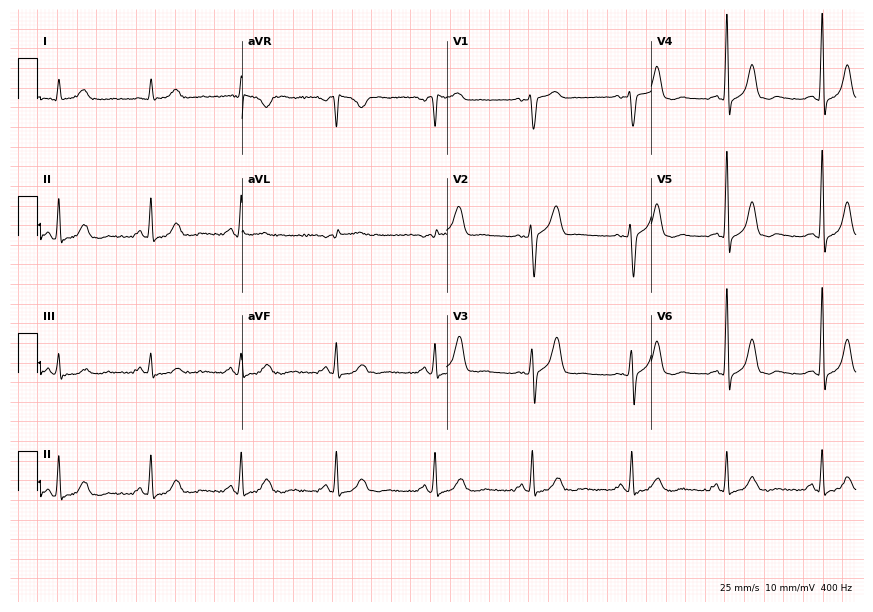
12-lead ECG from a woman, 56 years old. Recorded interpretation: within normal limits.